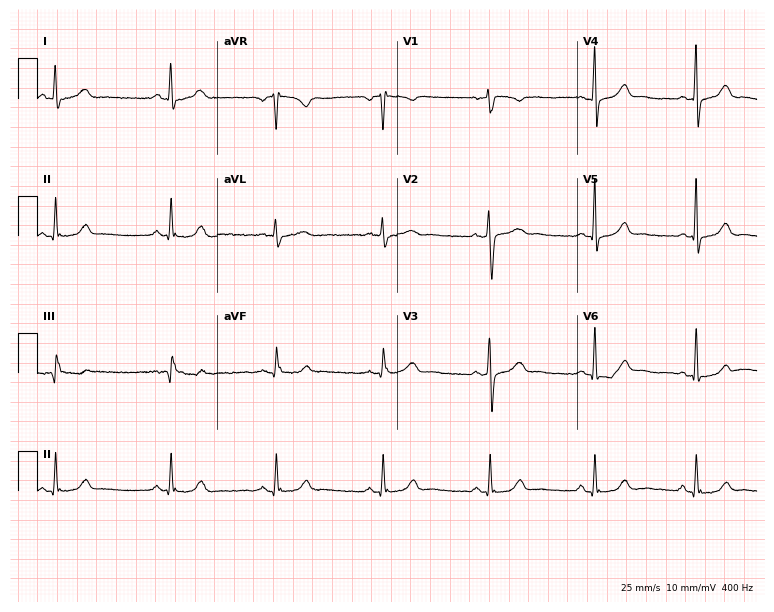
Resting 12-lead electrocardiogram (7.3-second recording at 400 Hz). Patient: a female, 48 years old. None of these six findings is recorded: first-degree AV block, right bundle branch block, left bundle branch block, sinus bradycardia, atrial fibrillation, sinus tachycardia.